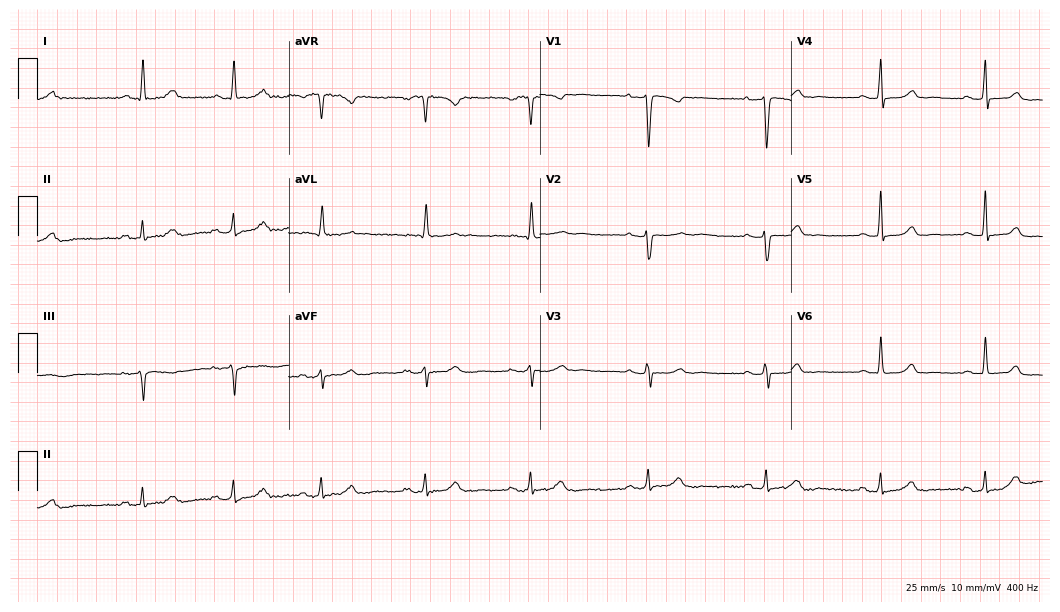
12-lead ECG (10.2-second recording at 400 Hz) from a 46-year-old female. Screened for six findings — first-degree AV block, right bundle branch block, left bundle branch block, sinus bradycardia, atrial fibrillation, sinus tachycardia — none is recorded. Other findings, if any, are not listed.